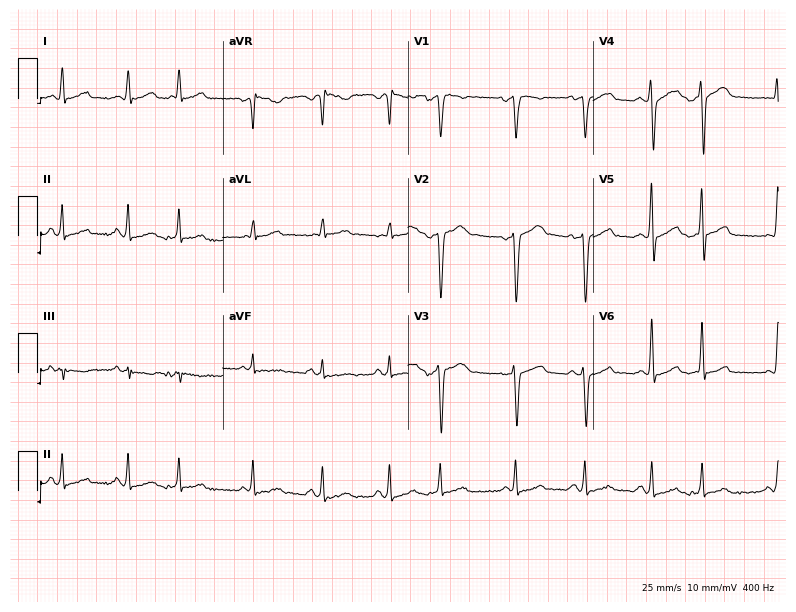
ECG (7.6-second recording at 400 Hz) — a man, 41 years old. Screened for six findings — first-degree AV block, right bundle branch block, left bundle branch block, sinus bradycardia, atrial fibrillation, sinus tachycardia — none is recorded.